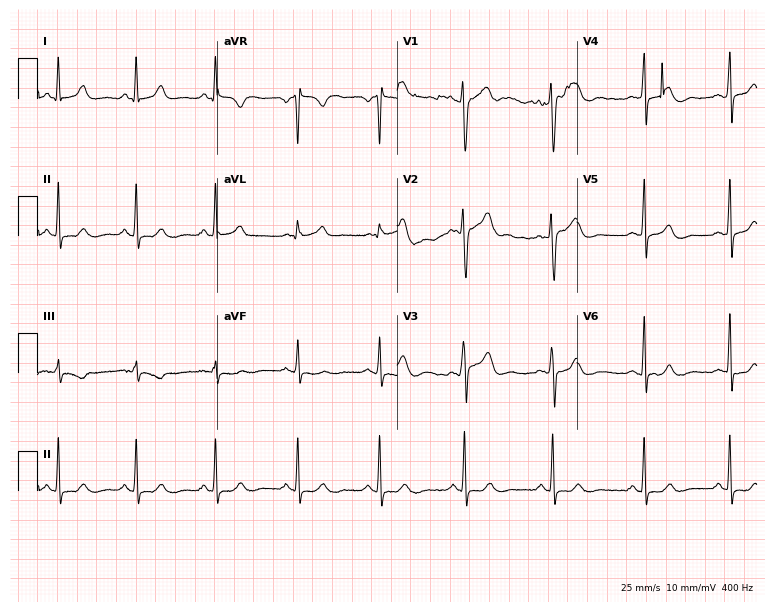
12-lead ECG (7.3-second recording at 400 Hz) from a woman, 25 years old. Labelled as a normal ECG.